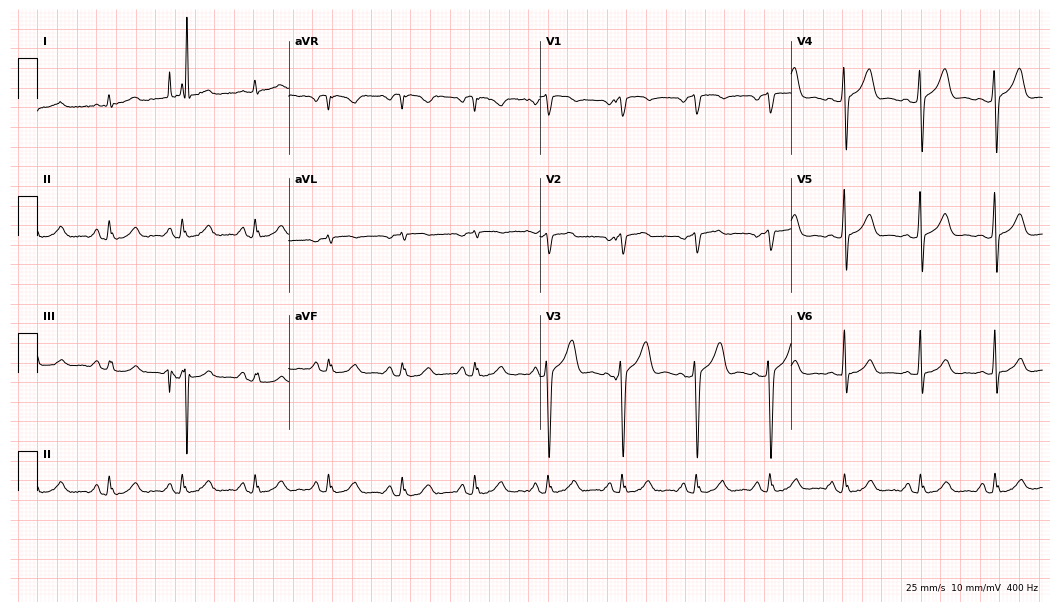
ECG (10.2-second recording at 400 Hz) — a 51-year-old male. Screened for six findings — first-degree AV block, right bundle branch block (RBBB), left bundle branch block (LBBB), sinus bradycardia, atrial fibrillation (AF), sinus tachycardia — none is recorded. Only these six findings were labelled.